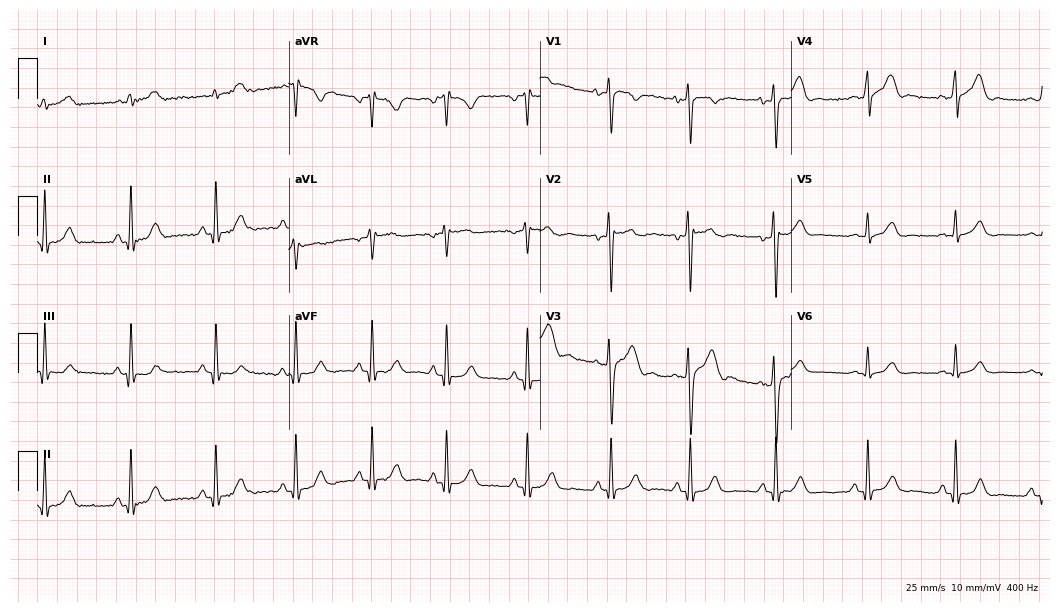
Standard 12-lead ECG recorded from a 22-year-old male (10.2-second recording at 400 Hz). Read as a normal ECG.